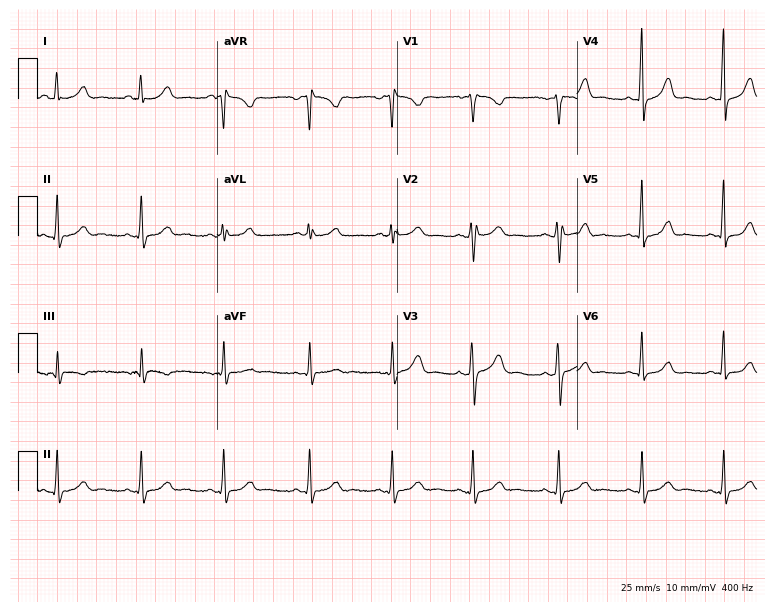
ECG (7.3-second recording at 400 Hz) — a female patient, 27 years old. Labelled as a normal ECG.